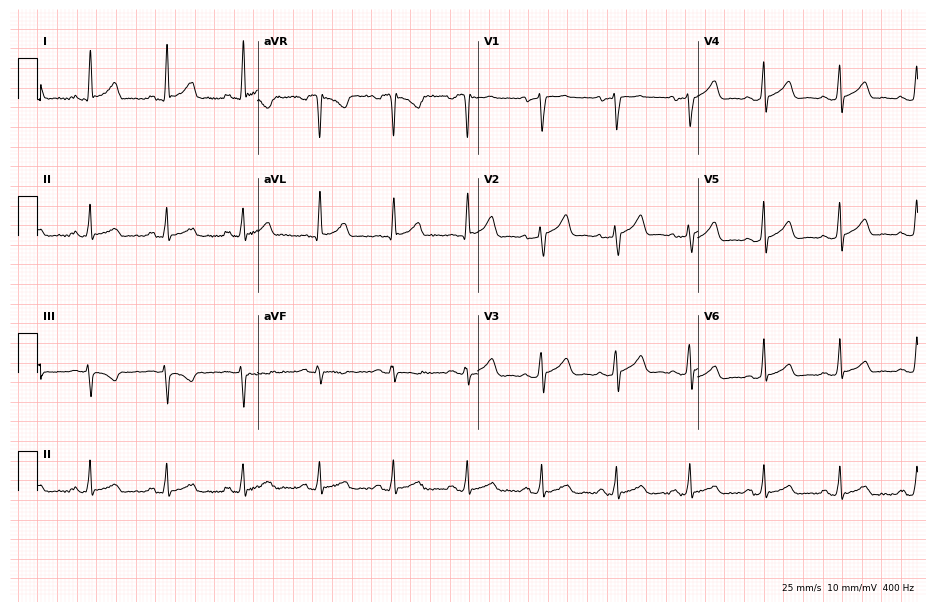
12-lead ECG from a female patient, 42 years old (9-second recording at 400 Hz). No first-degree AV block, right bundle branch block, left bundle branch block, sinus bradycardia, atrial fibrillation or sinus tachycardia recorded for this tracing. Findings outside these six are not listed.